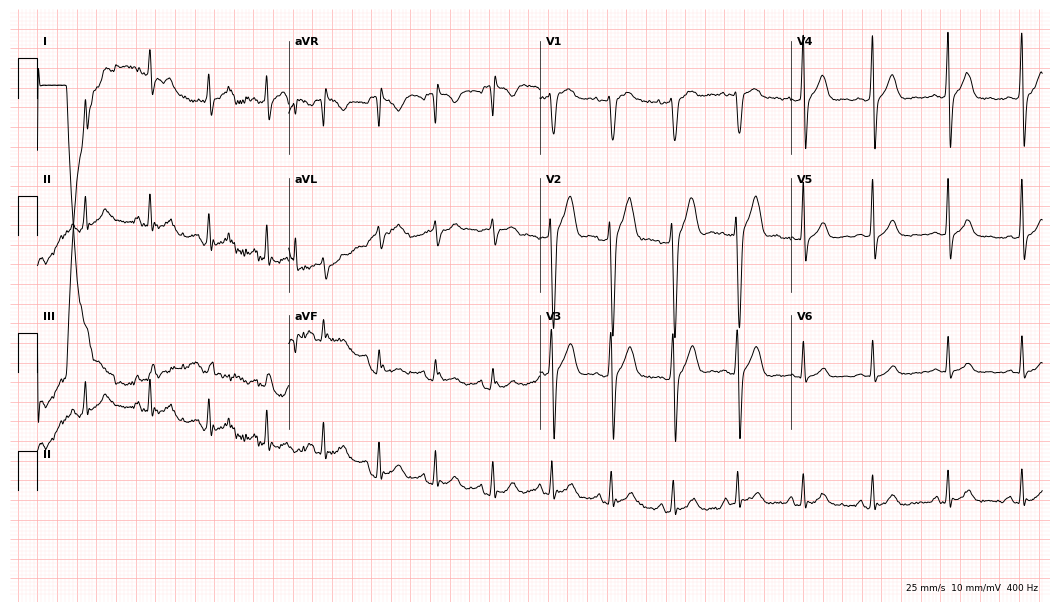
12-lead ECG from a male patient, 21 years old (10.2-second recording at 400 Hz). No first-degree AV block, right bundle branch block (RBBB), left bundle branch block (LBBB), sinus bradycardia, atrial fibrillation (AF) or sinus tachycardia recorded for this tracing. Findings outside these six are not listed.